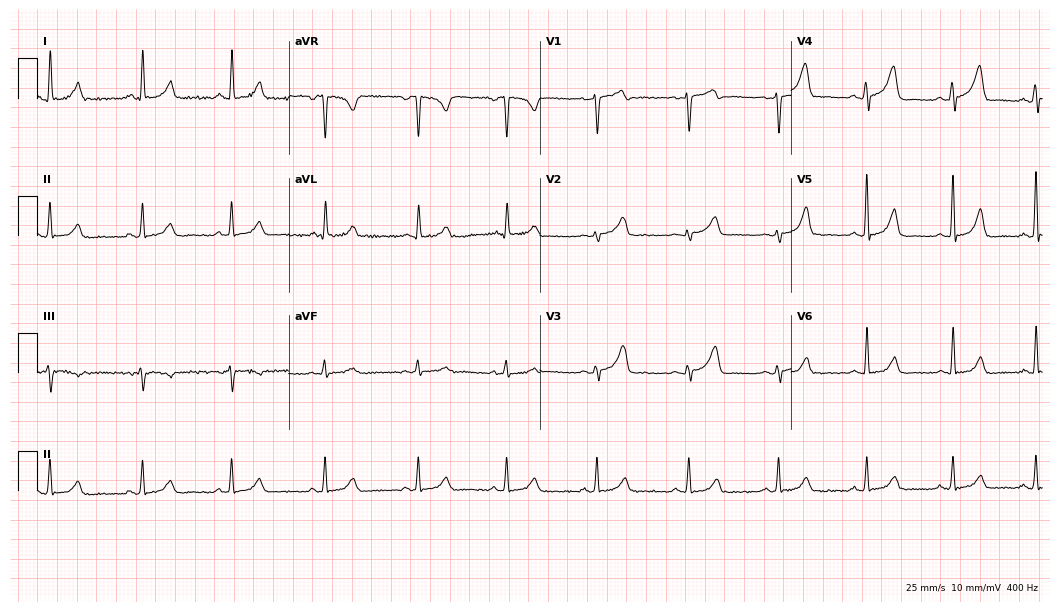
ECG (10.2-second recording at 400 Hz) — a 44-year-old female patient. Labelled as a normal ECG.